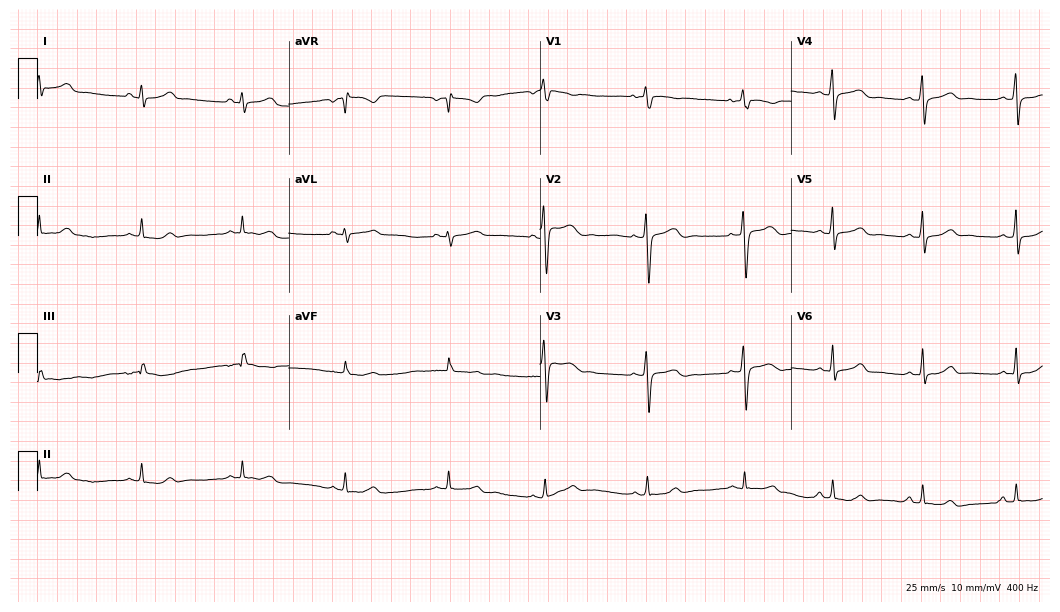
12-lead ECG (10.2-second recording at 400 Hz) from a female patient, 25 years old. Labelled as a normal ECG.